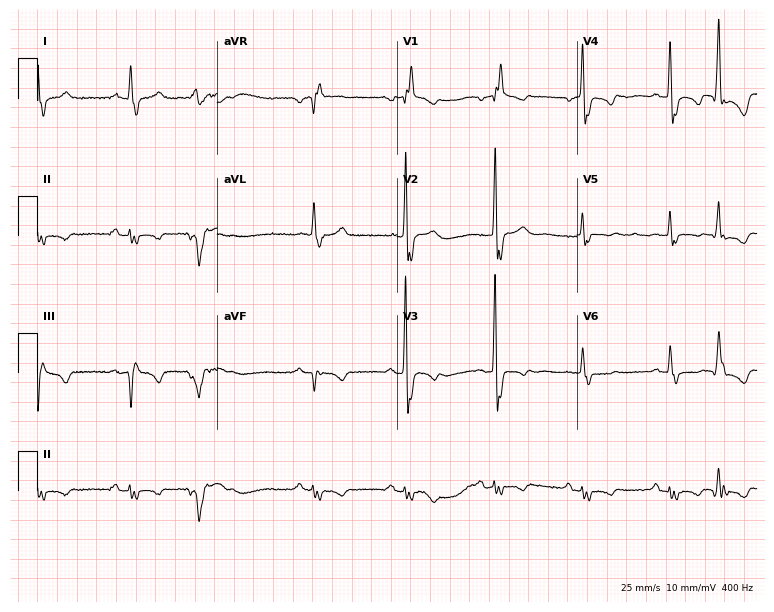
12-lead ECG (7.3-second recording at 400 Hz) from a 78-year-old male patient. Findings include right bundle branch block.